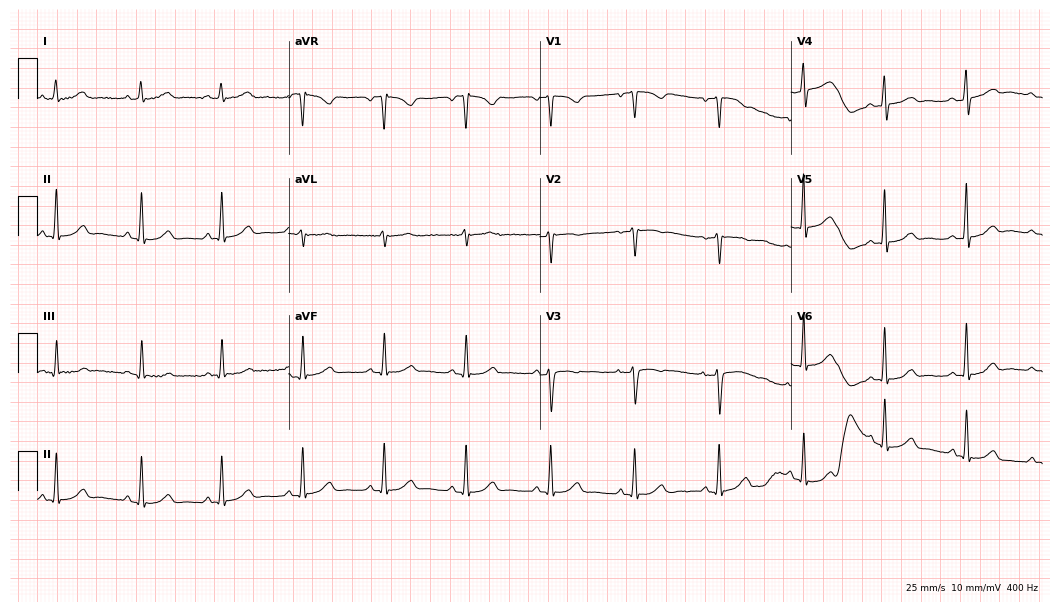
ECG (10.2-second recording at 400 Hz) — a woman, 41 years old. Labelled as a normal ECG.